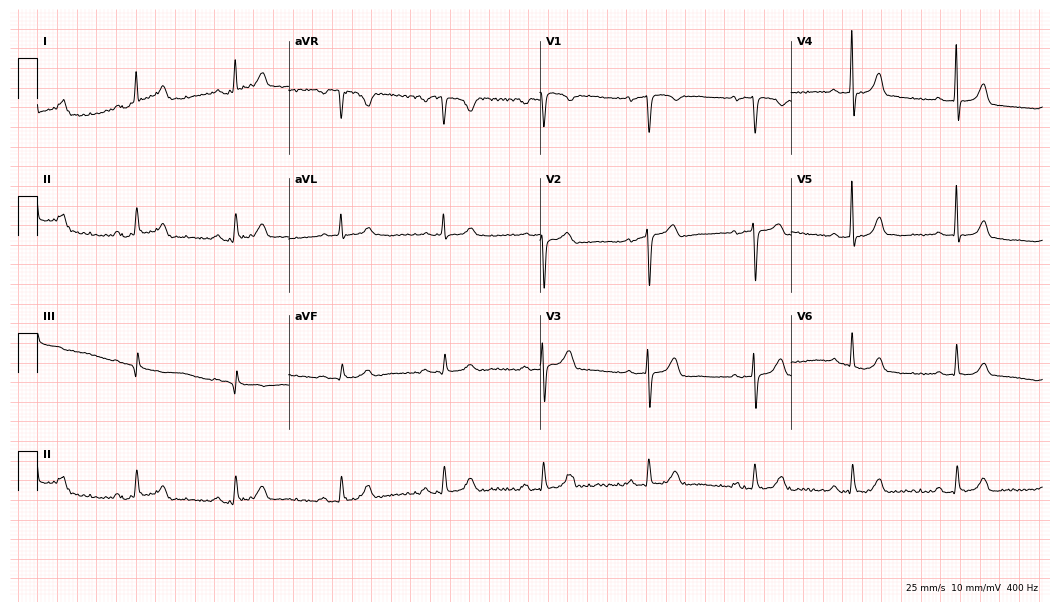
Resting 12-lead electrocardiogram (10.2-second recording at 400 Hz). Patient: a 73-year-old woman. Read as a normal ECG.